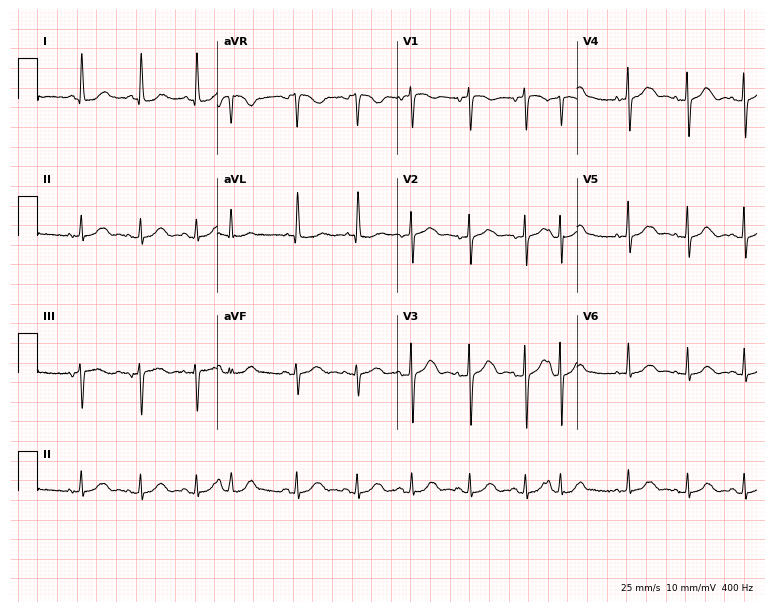
Electrocardiogram, an 80-year-old female. Interpretation includes sinus tachycardia (a sinus rate of 100 beats per minute or more).